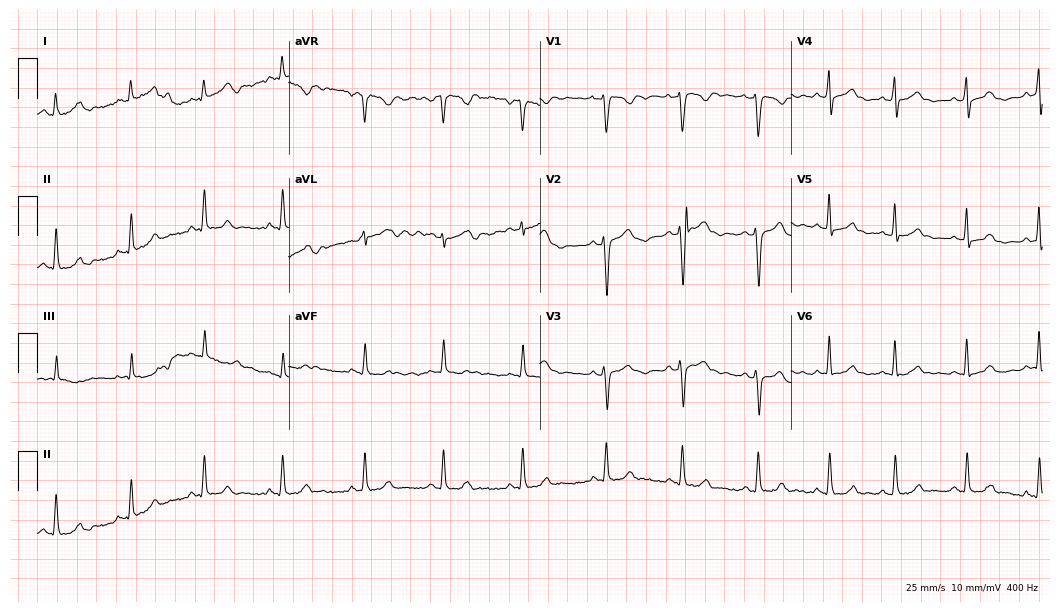
12-lead ECG from a woman, 21 years old. No first-degree AV block, right bundle branch block (RBBB), left bundle branch block (LBBB), sinus bradycardia, atrial fibrillation (AF) or sinus tachycardia recorded for this tracing.